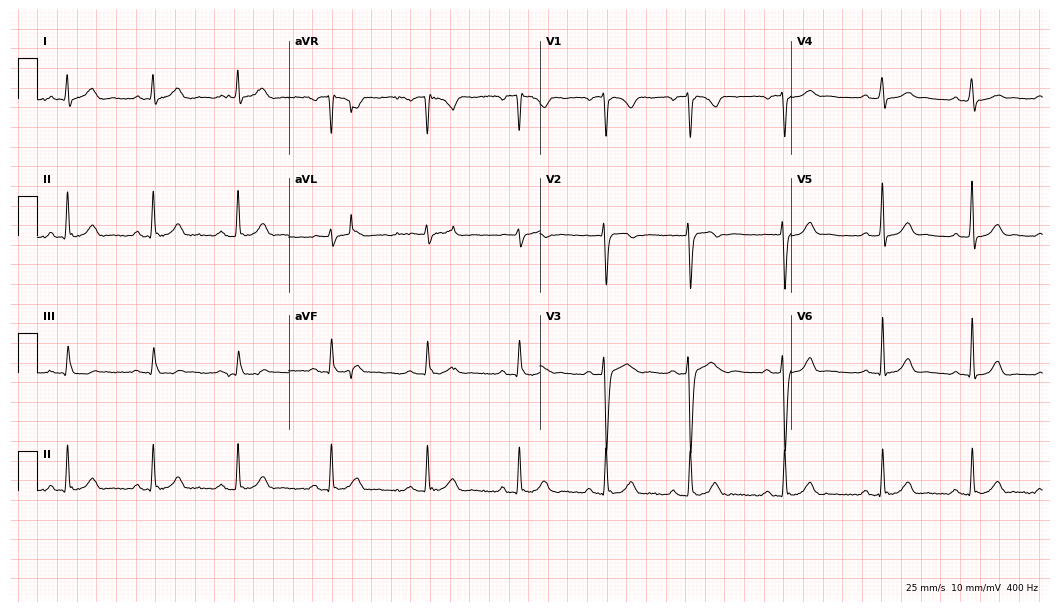
Electrocardiogram (10.2-second recording at 400 Hz), a male, 24 years old. Overall reading on record: normal ECG.